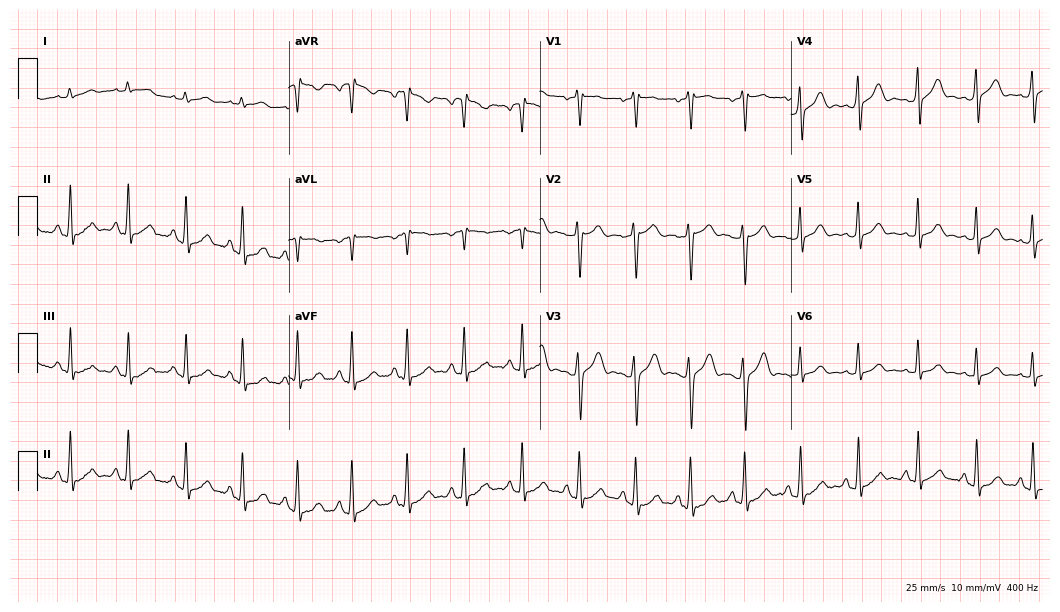
Electrocardiogram, a male patient, 20 years old. Of the six screened findings (first-degree AV block, right bundle branch block (RBBB), left bundle branch block (LBBB), sinus bradycardia, atrial fibrillation (AF), sinus tachycardia), none is recorded. Only these six findings were labelled.